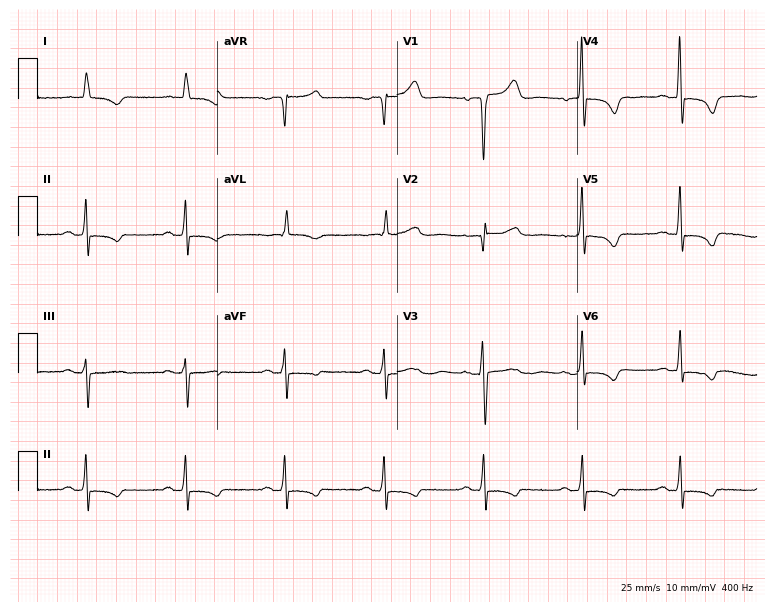
ECG (7.3-second recording at 400 Hz) — a woman, 82 years old. Labelled as a normal ECG.